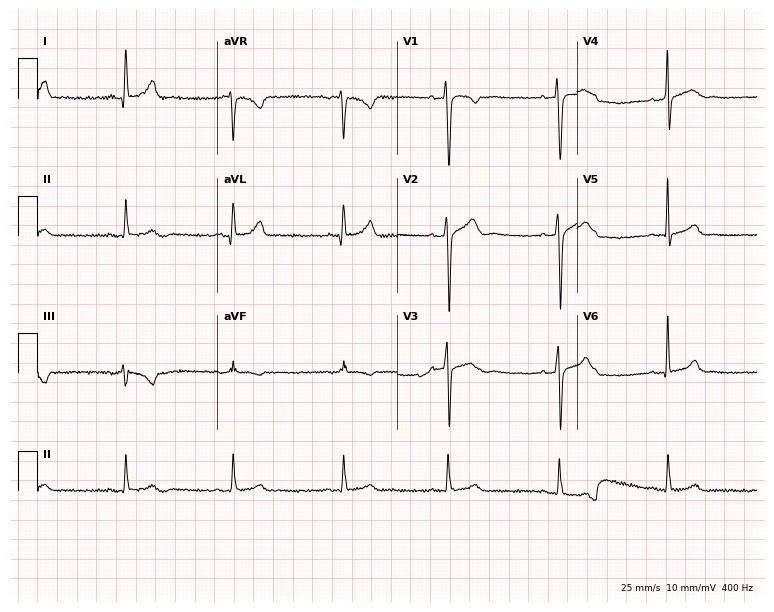
ECG — a 29-year-old man. Labelled as a normal ECG.